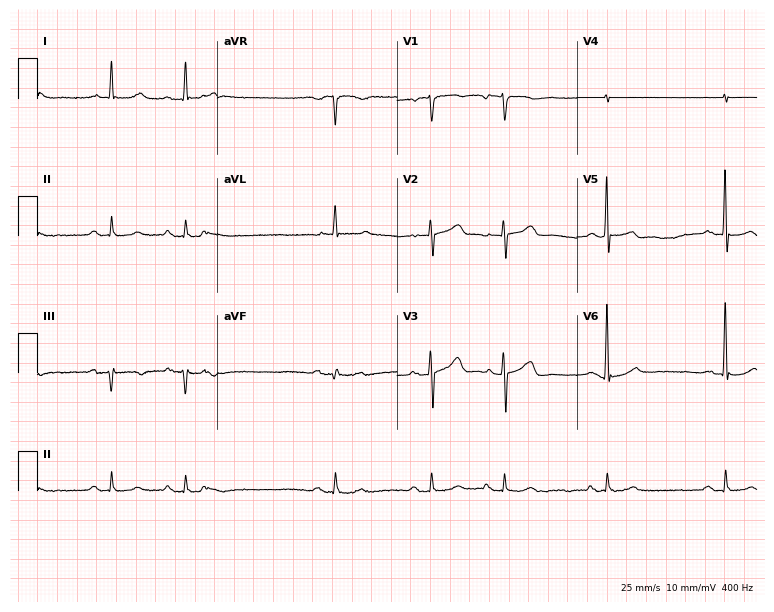
12-lead ECG from a 74-year-old male (7.3-second recording at 400 Hz). No first-degree AV block, right bundle branch block, left bundle branch block, sinus bradycardia, atrial fibrillation or sinus tachycardia recorded for this tracing. Other findings, if any, are not listed.